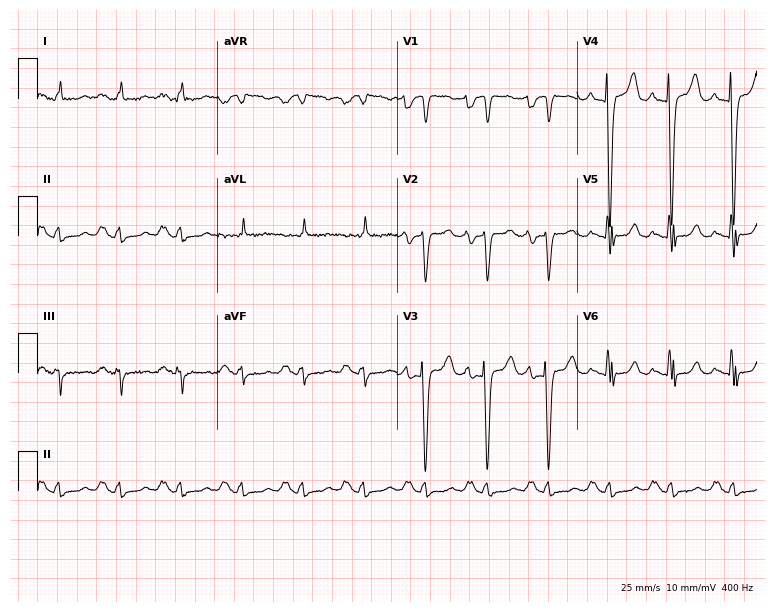
Resting 12-lead electrocardiogram. Patient: a man, 33 years old. None of these six findings is recorded: first-degree AV block, right bundle branch block (RBBB), left bundle branch block (LBBB), sinus bradycardia, atrial fibrillation (AF), sinus tachycardia.